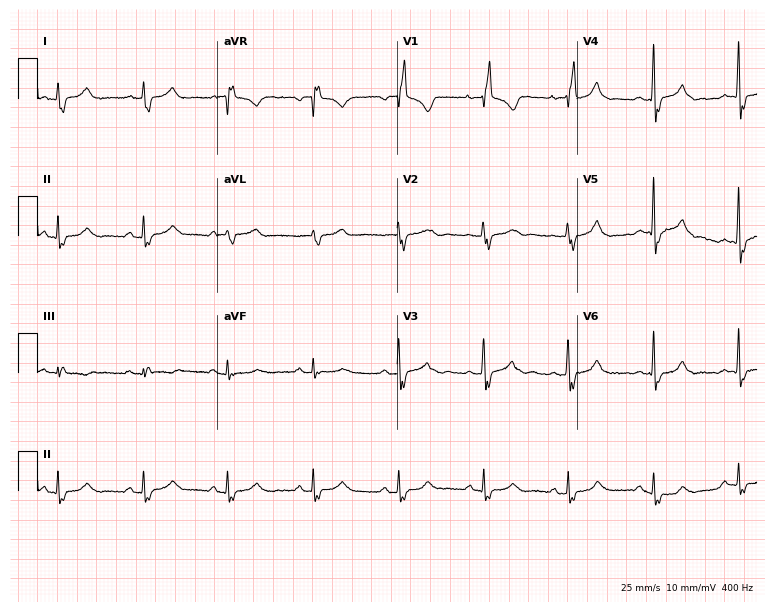
12-lead ECG from a woman, 43 years old. Shows right bundle branch block (RBBB).